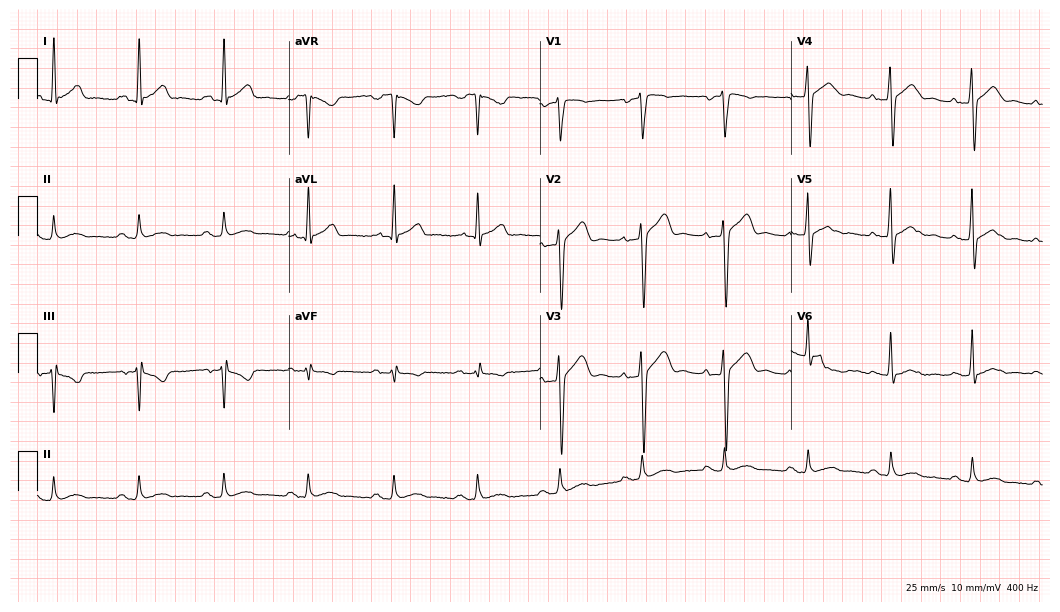
12-lead ECG from a man, 36 years old (10.2-second recording at 400 Hz). No first-degree AV block, right bundle branch block (RBBB), left bundle branch block (LBBB), sinus bradycardia, atrial fibrillation (AF) or sinus tachycardia recorded for this tracing. Findings outside these six are not listed.